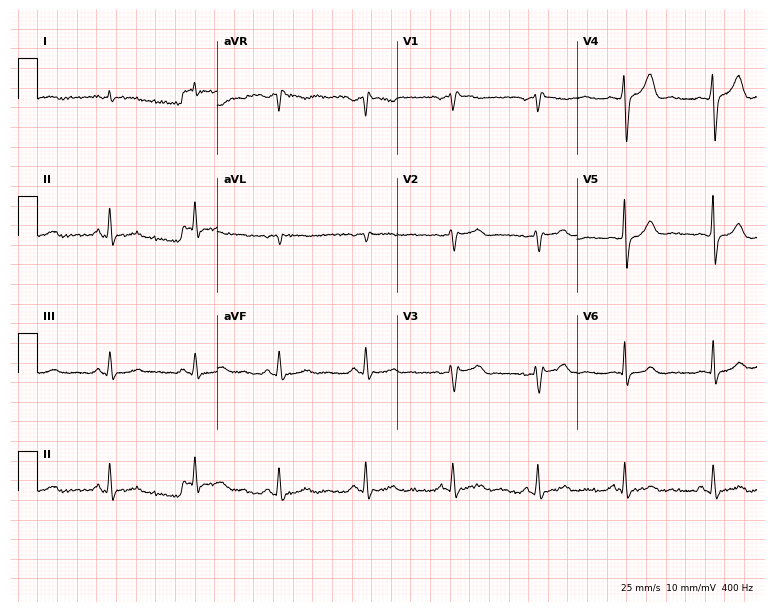
Electrocardiogram, a 55-year-old male. Of the six screened findings (first-degree AV block, right bundle branch block, left bundle branch block, sinus bradycardia, atrial fibrillation, sinus tachycardia), none is recorded. Only these six findings were labelled.